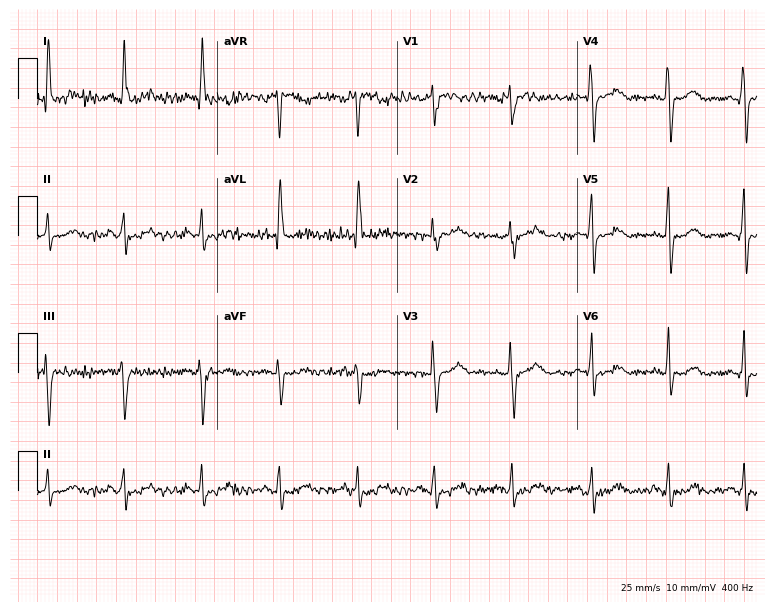
12-lead ECG (7.3-second recording at 400 Hz) from a female, 70 years old. Screened for six findings — first-degree AV block, right bundle branch block, left bundle branch block, sinus bradycardia, atrial fibrillation, sinus tachycardia — none is recorded.